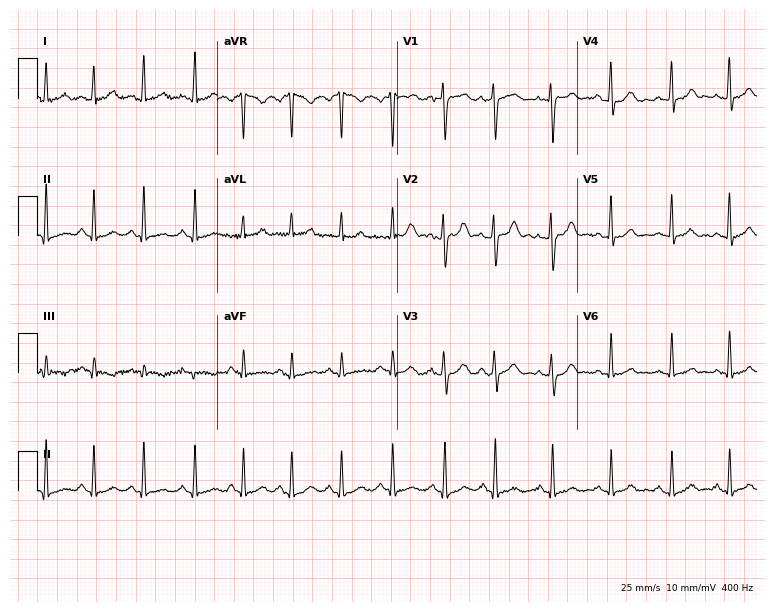
12-lead ECG from a female, 24 years old. Shows sinus tachycardia (a sinus rate of 100 beats per minute or more).